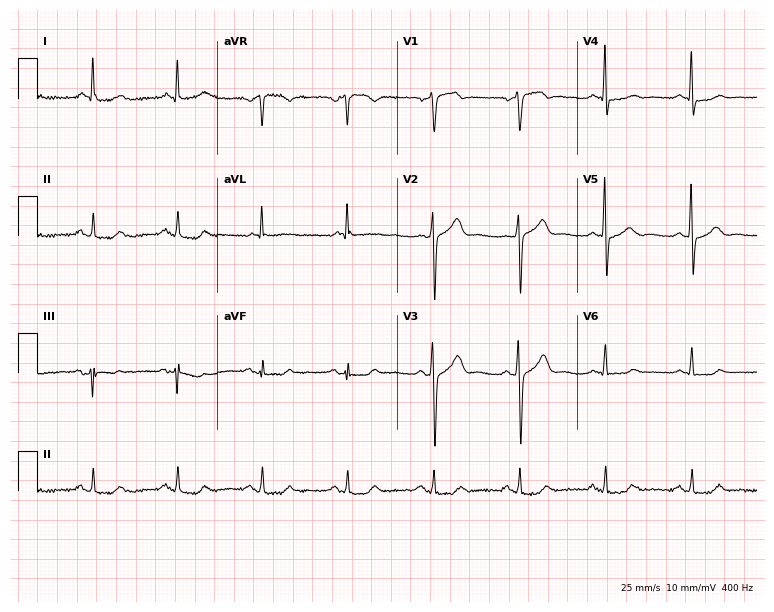
ECG — an 81-year-old man. Labelled as a normal ECG.